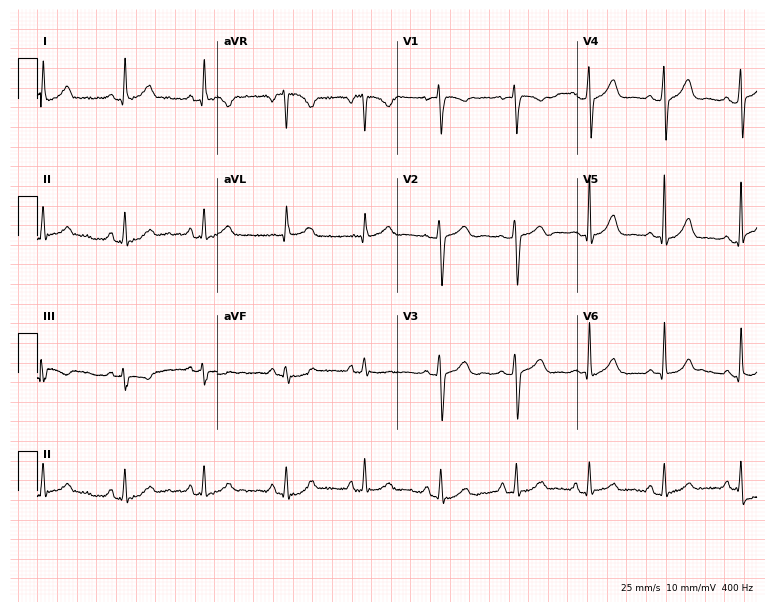
Standard 12-lead ECG recorded from a female, 48 years old. Read as a normal ECG.